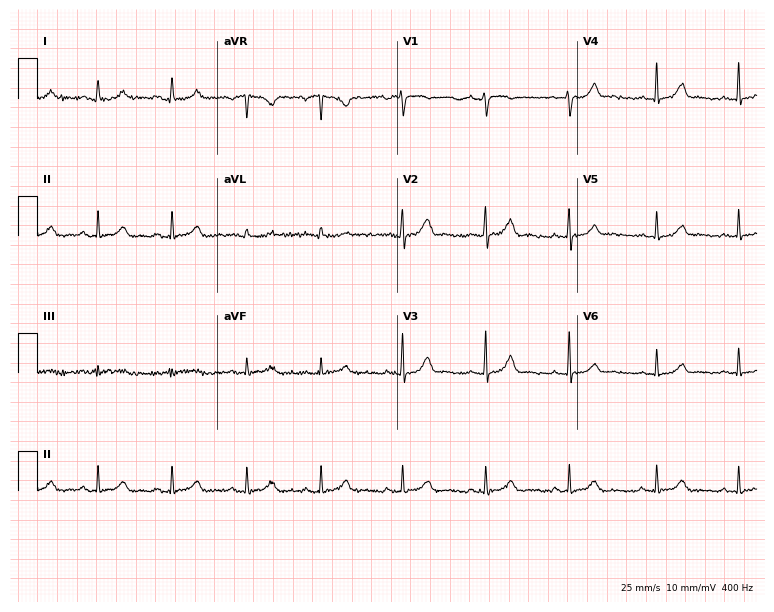
ECG — a woman, 20 years old. Labelled as a normal ECG.